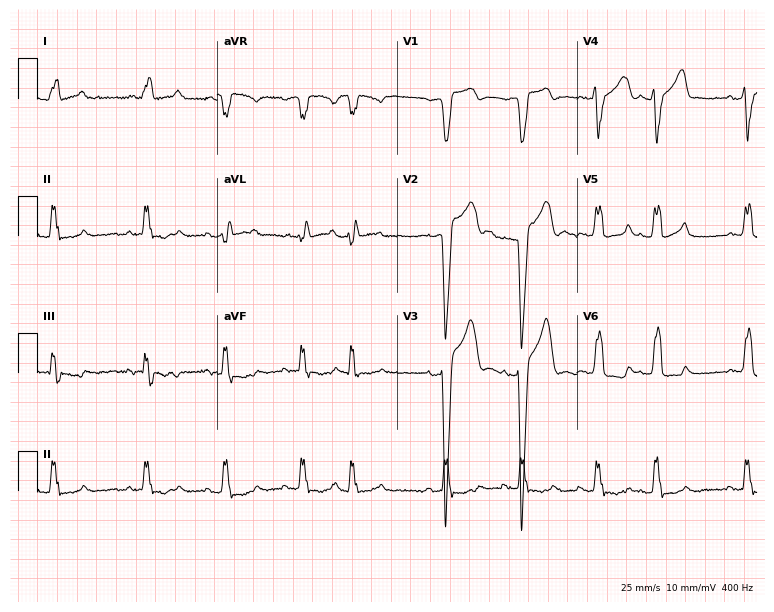
Standard 12-lead ECG recorded from a 70-year-old male patient (7.3-second recording at 400 Hz). The tracing shows left bundle branch block (LBBB).